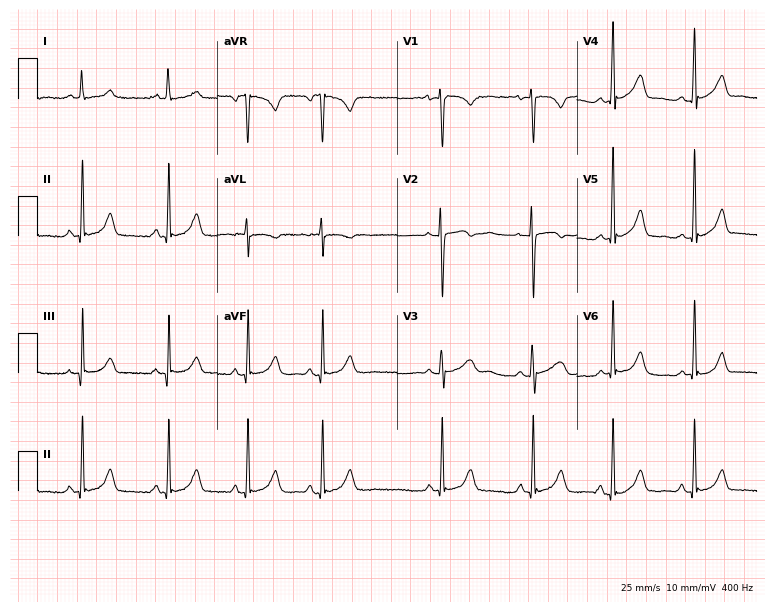
ECG — a 25-year-old woman. Screened for six findings — first-degree AV block, right bundle branch block, left bundle branch block, sinus bradycardia, atrial fibrillation, sinus tachycardia — none is recorded.